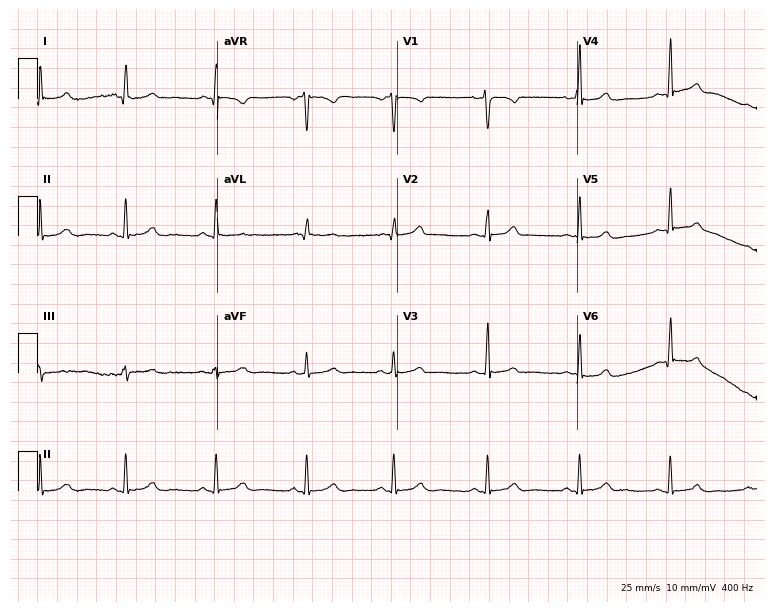
Standard 12-lead ECG recorded from a 20-year-old female (7.3-second recording at 400 Hz). Read as a normal ECG.